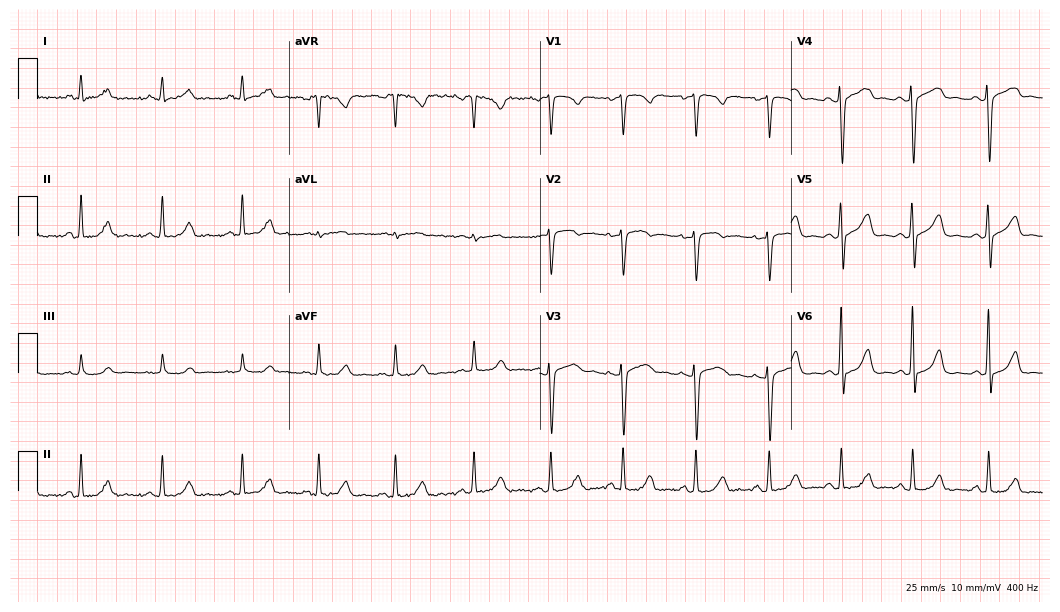
Electrocardiogram, a 38-year-old woman. Of the six screened findings (first-degree AV block, right bundle branch block, left bundle branch block, sinus bradycardia, atrial fibrillation, sinus tachycardia), none is recorded. Other findings, if any, are not listed.